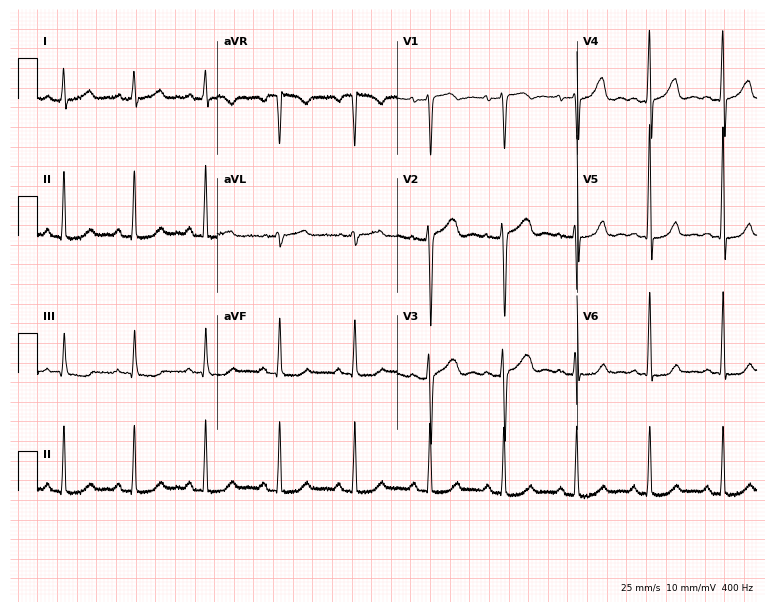
Electrocardiogram, a woman, 46 years old. Overall reading on record: normal ECG.